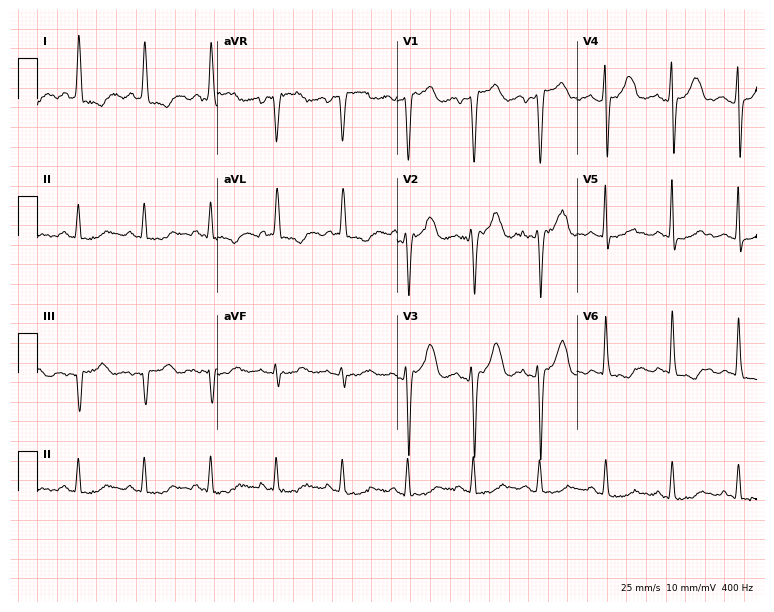
12-lead ECG from a female, 36 years old (7.3-second recording at 400 Hz). No first-degree AV block, right bundle branch block, left bundle branch block, sinus bradycardia, atrial fibrillation or sinus tachycardia recorded for this tracing. Findings outside these six are not listed.